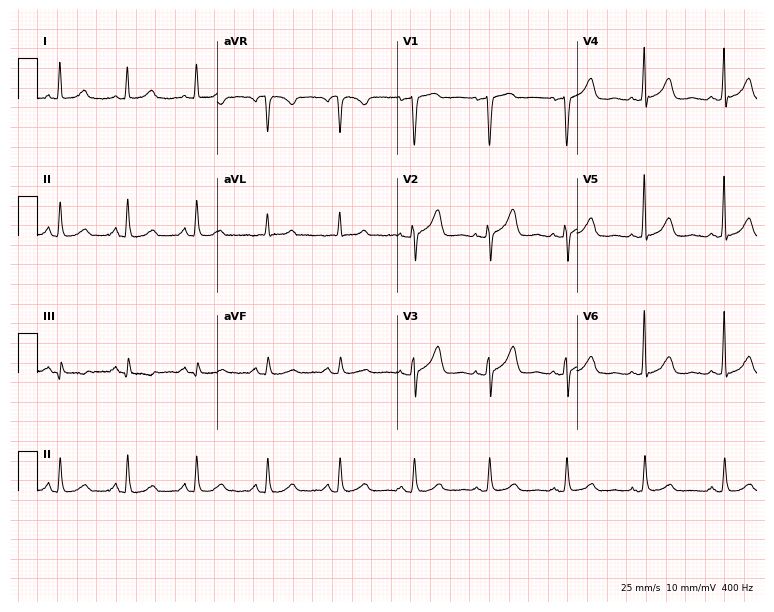
12-lead ECG from a 60-year-old female patient (7.3-second recording at 400 Hz). No first-degree AV block, right bundle branch block, left bundle branch block, sinus bradycardia, atrial fibrillation or sinus tachycardia recorded for this tracing. Only these six findings were labelled.